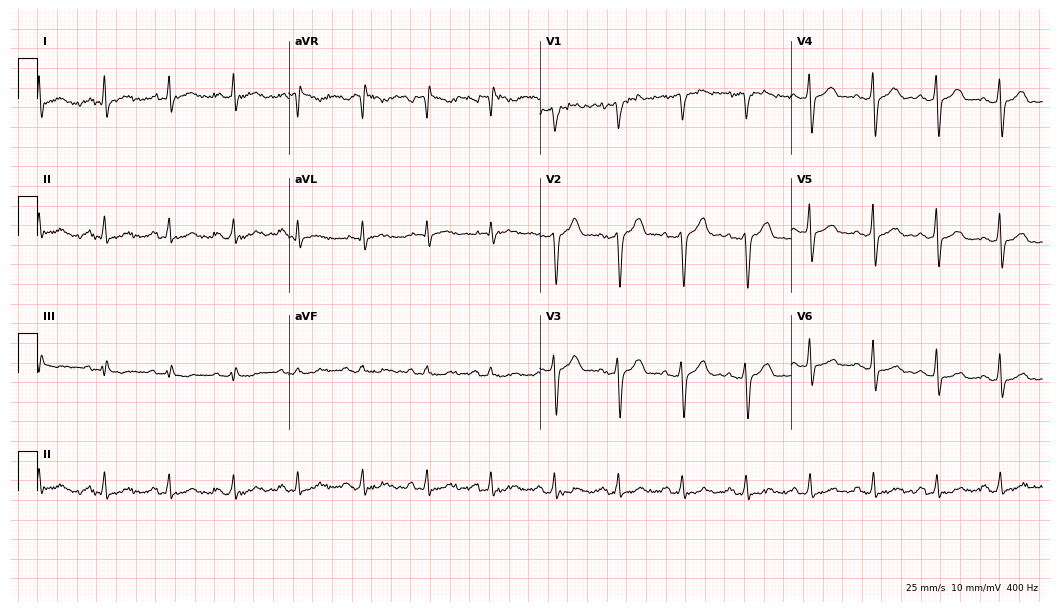
ECG — a 59-year-old male patient. Labelled as a normal ECG.